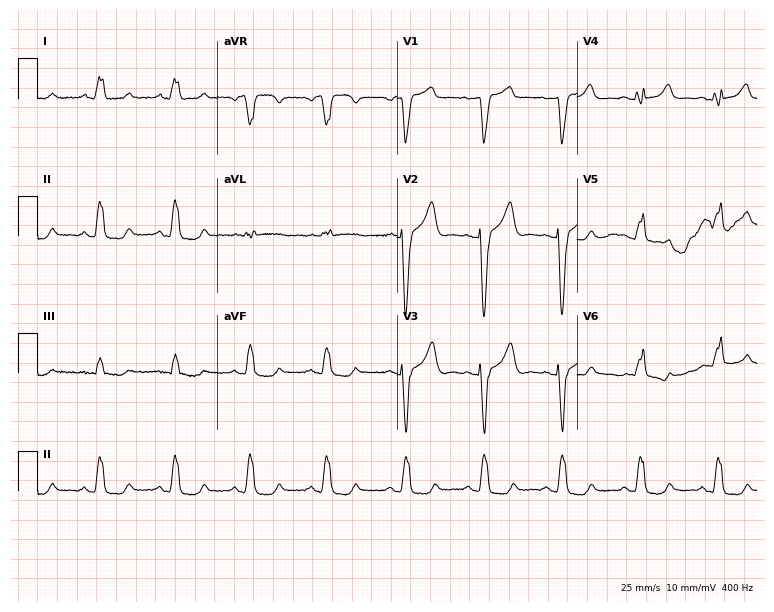
Electrocardiogram (7.3-second recording at 400 Hz), a 54-year-old female. Interpretation includes left bundle branch block (LBBB).